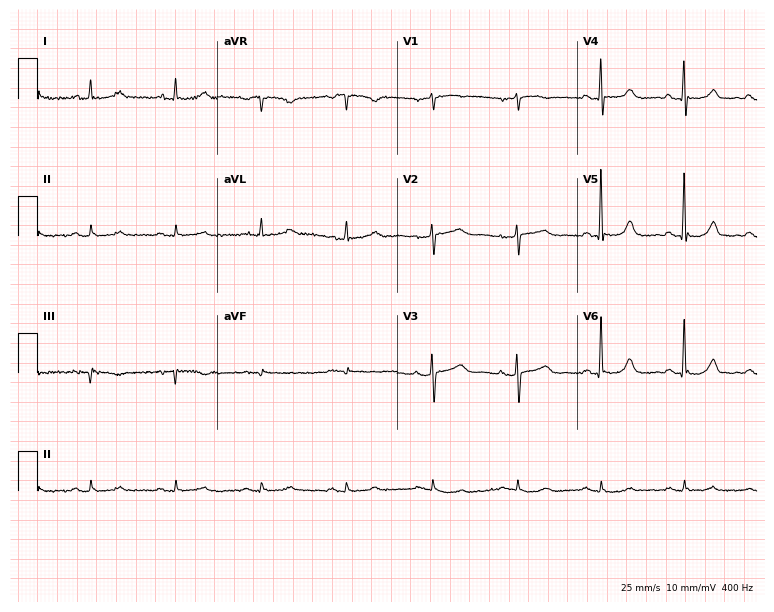
Standard 12-lead ECG recorded from a woman, 77 years old. None of these six findings is recorded: first-degree AV block, right bundle branch block (RBBB), left bundle branch block (LBBB), sinus bradycardia, atrial fibrillation (AF), sinus tachycardia.